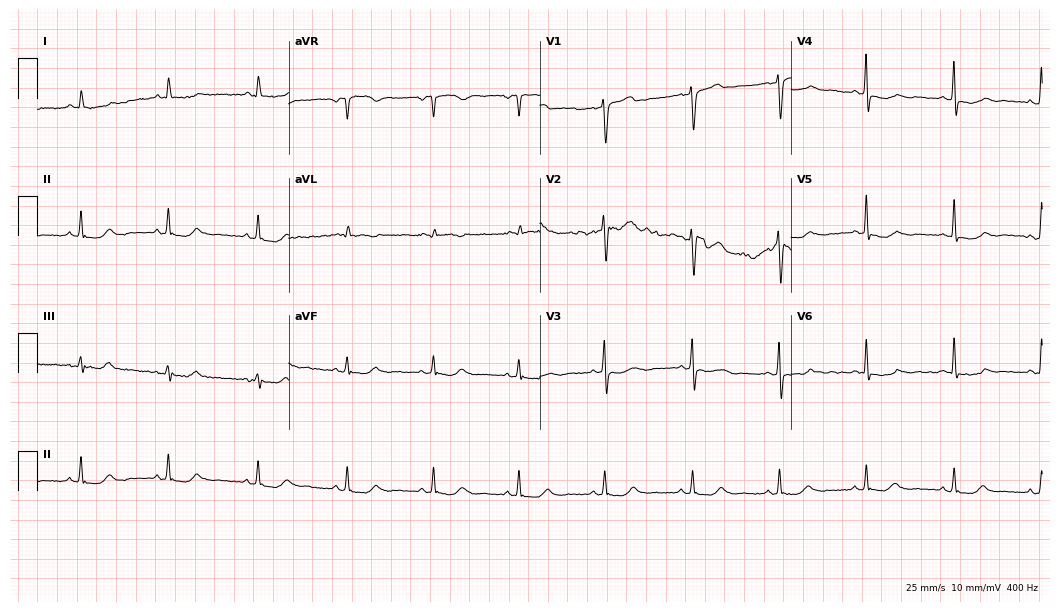
12-lead ECG from a man, 68 years old. No first-degree AV block, right bundle branch block (RBBB), left bundle branch block (LBBB), sinus bradycardia, atrial fibrillation (AF) or sinus tachycardia recorded for this tracing. Findings outside these six are not listed.